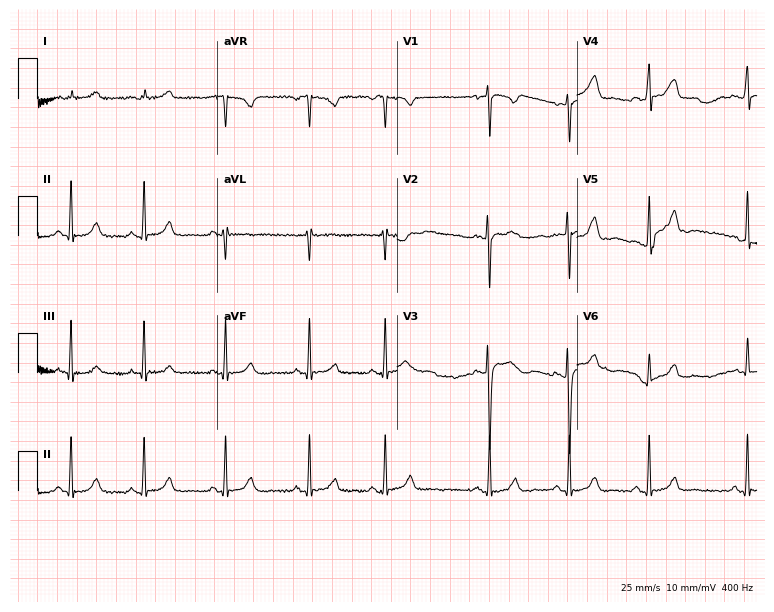
12-lead ECG from a female patient, 17 years old (7.3-second recording at 400 Hz). Recorded interpretation: within normal limits.